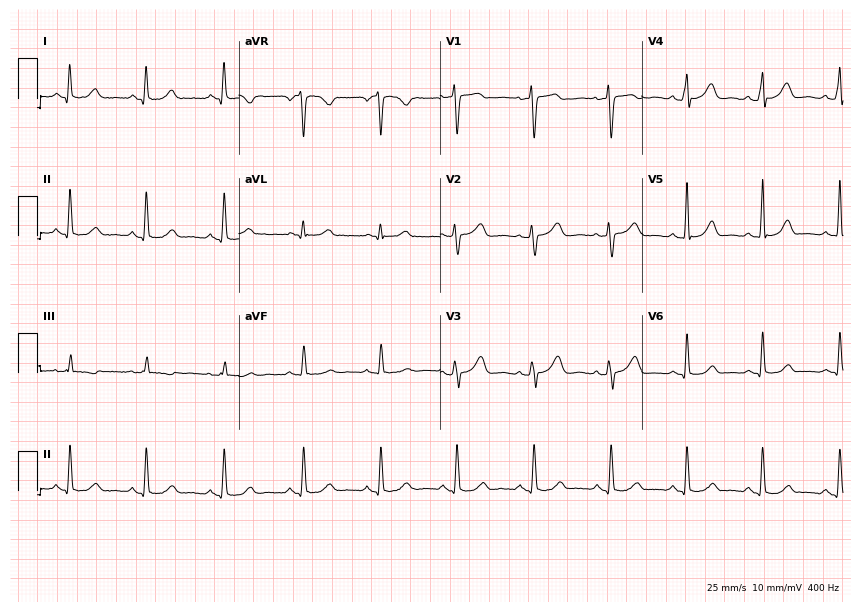
ECG — a 33-year-old female. Labelled as a normal ECG.